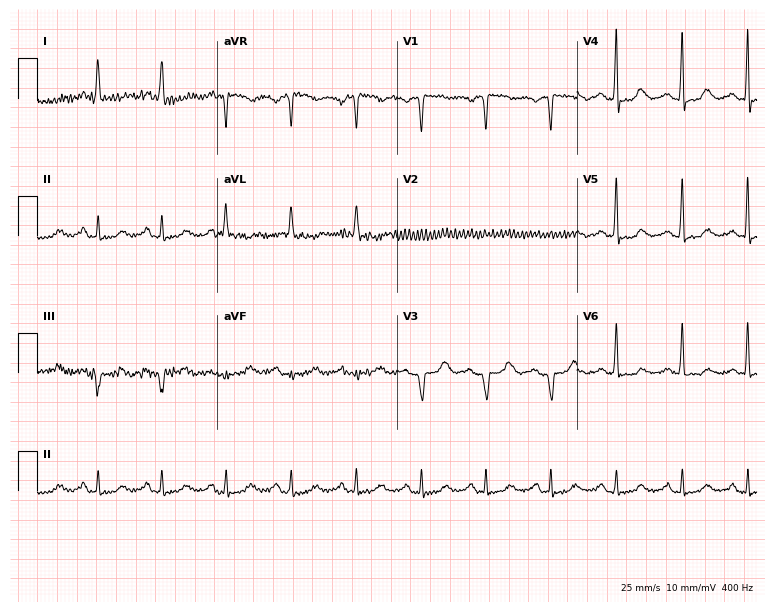
12-lead ECG (7.3-second recording at 400 Hz) from a female, 58 years old. Screened for six findings — first-degree AV block, right bundle branch block, left bundle branch block, sinus bradycardia, atrial fibrillation, sinus tachycardia — none is recorded. Only these six findings were labelled.